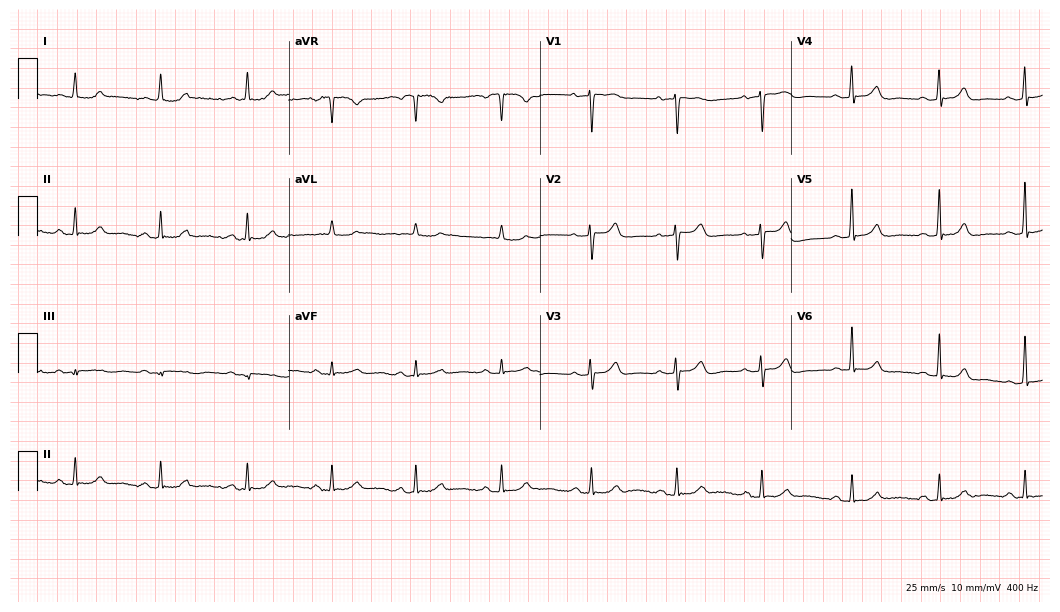
ECG (10.2-second recording at 400 Hz) — an 80-year-old female patient. Labelled as a normal ECG.